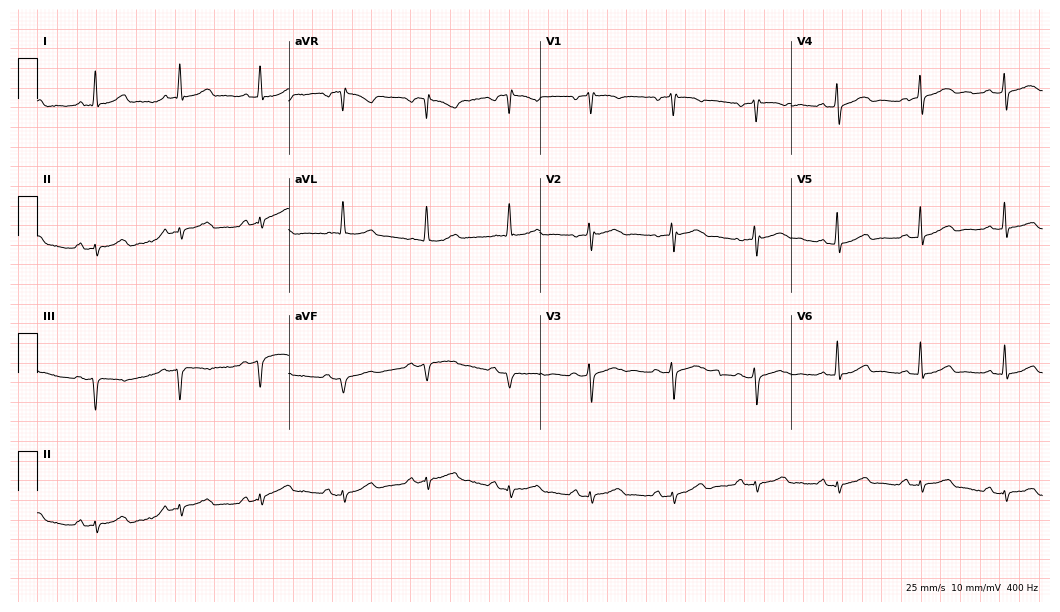
12-lead ECG from a woman, 70 years old. Screened for six findings — first-degree AV block, right bundle branch block, left bundle branch block, sinus bradycardia, atrial fibrillation, sinus tachycardia — none is recorded. Other findings, if any, are not listed.